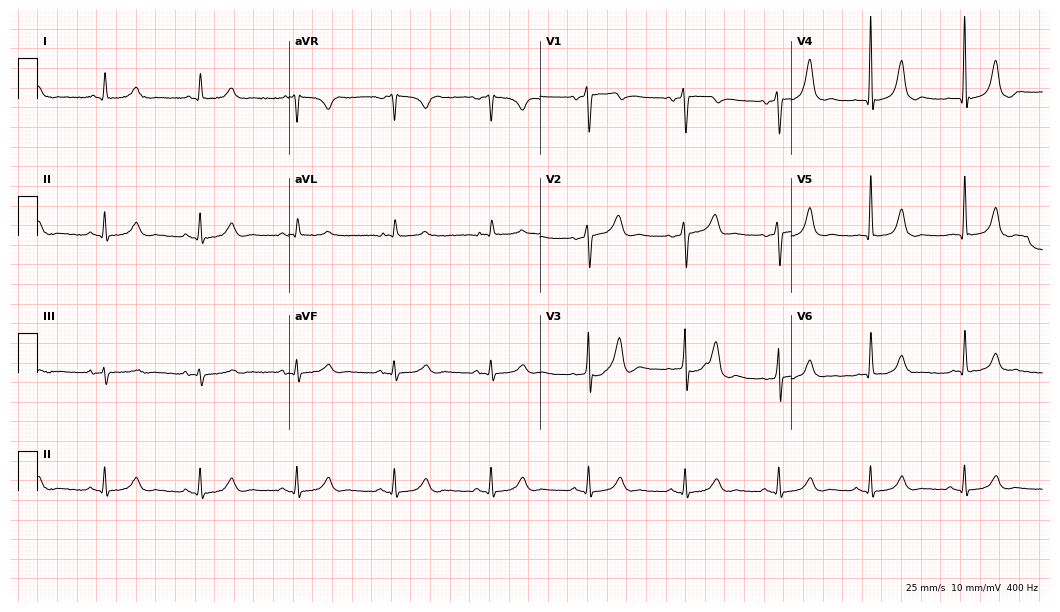
12-lead ECG (10.2-second recording at 400 Hz) from a male patient, 63 years old. Labelled as a normal ECG.